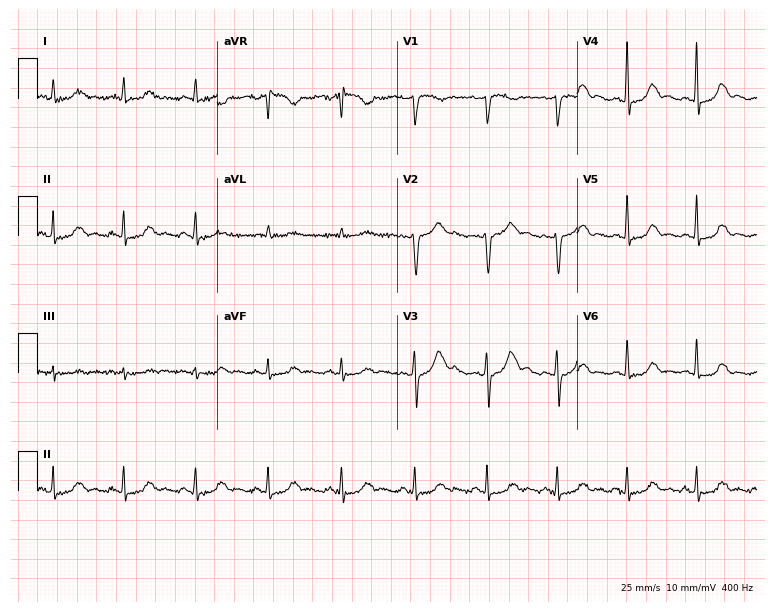
ECG — a female patient, 63 years old. Screened for six findings — first-degree AV block, right bundle branch block, left bundle branch block, sinus bradycardia, atrial fibrillation, sinus tachycardia — none is recorded. Only these six findings were labelled.